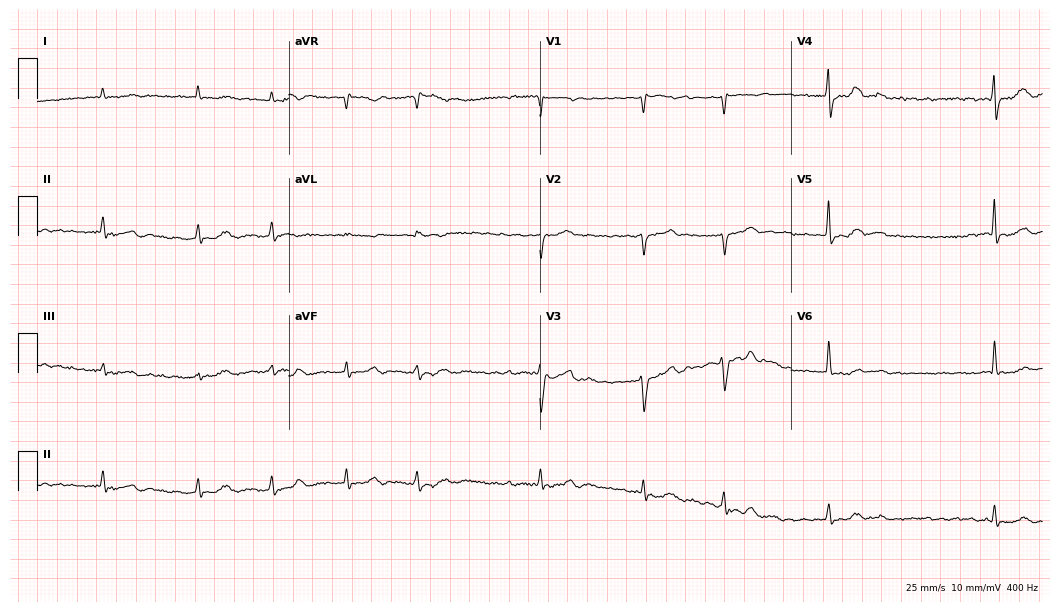
12-lead ECG (10.2-second recording at 400 Hz) from a 72-year-old male. Findings include atrial fibrillation.